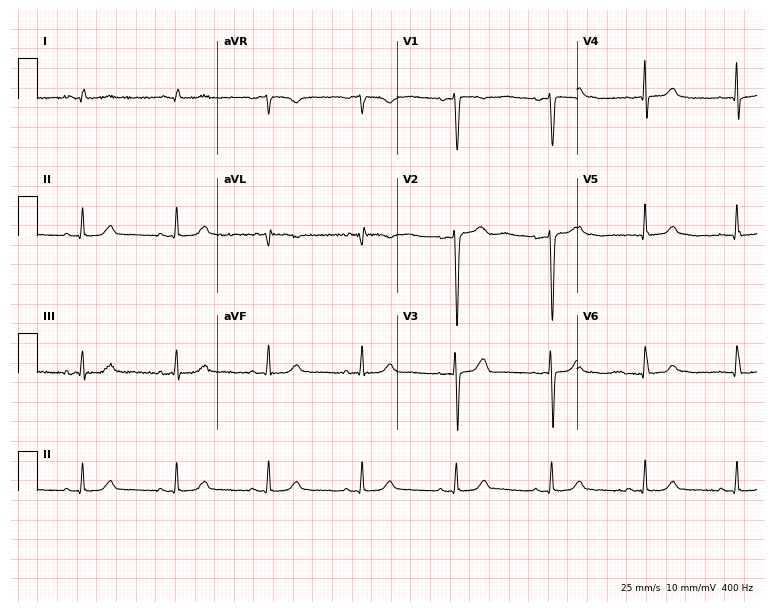
ECG (7.3-second recording at 400 Hz) — a female, 53 years old. Screened for six findings — first-degree AV block, right bundle branch block (RBBB), left bundle branch block (LBBB), sinus bradycardia, atrial fibrillation (AF), sinus tachycardia — none is recorded. Findings outside these six are not listed.